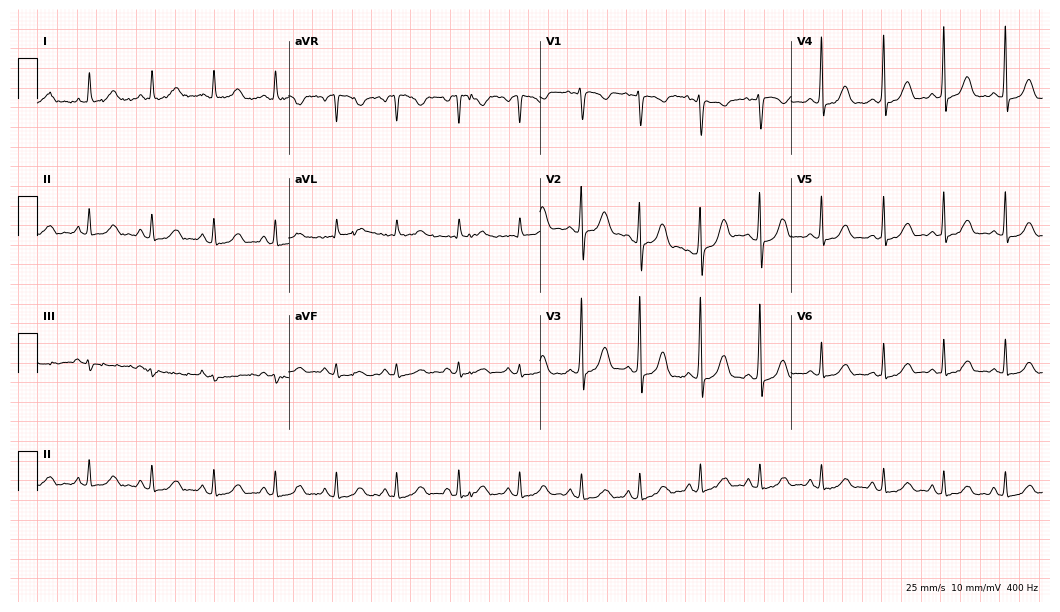
12-lead ECG from a female, 19 years old. Recorded interpretation: within normal limits.